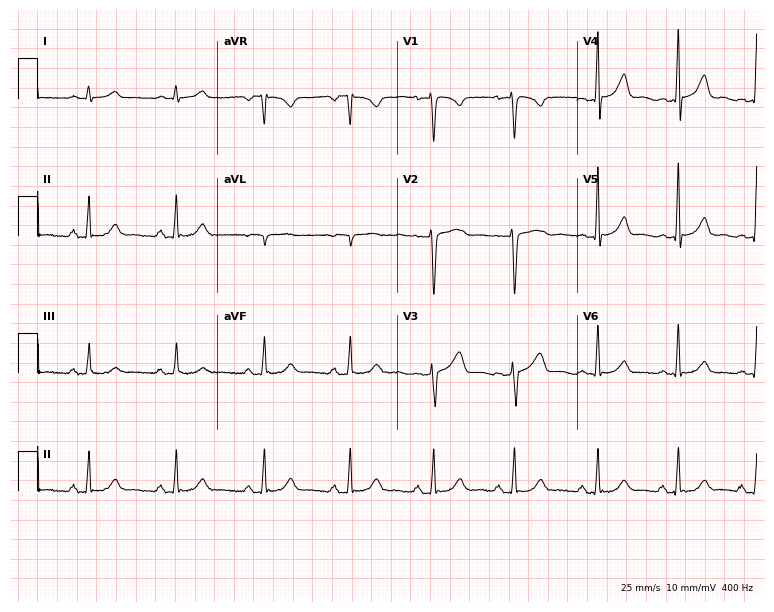
Resting 12-lead electrocardiogram (7.3-second recording at 400 Hz). Patient: a woman, 39 years old. Read as a normal ECG.